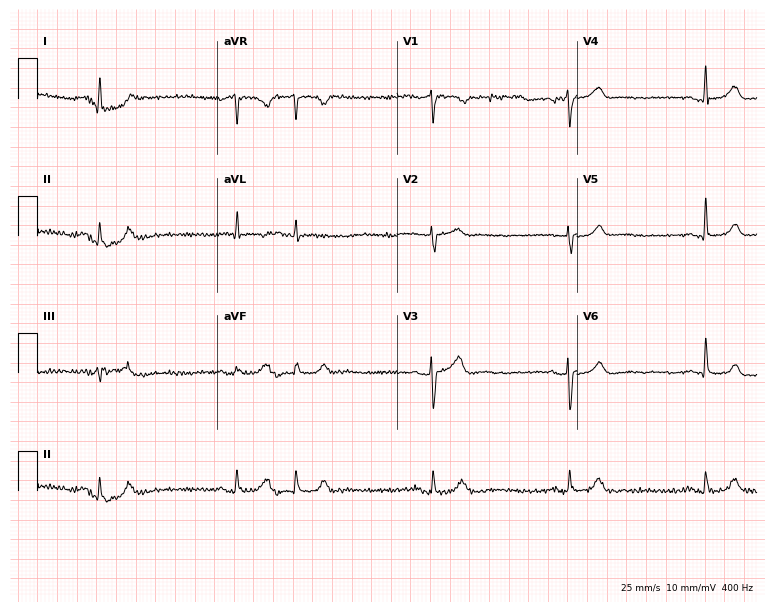
12-lead ECG from a 62-year-old man. Findings include sinus bradycardia (a sinus rate of 50 beats per minute or less).